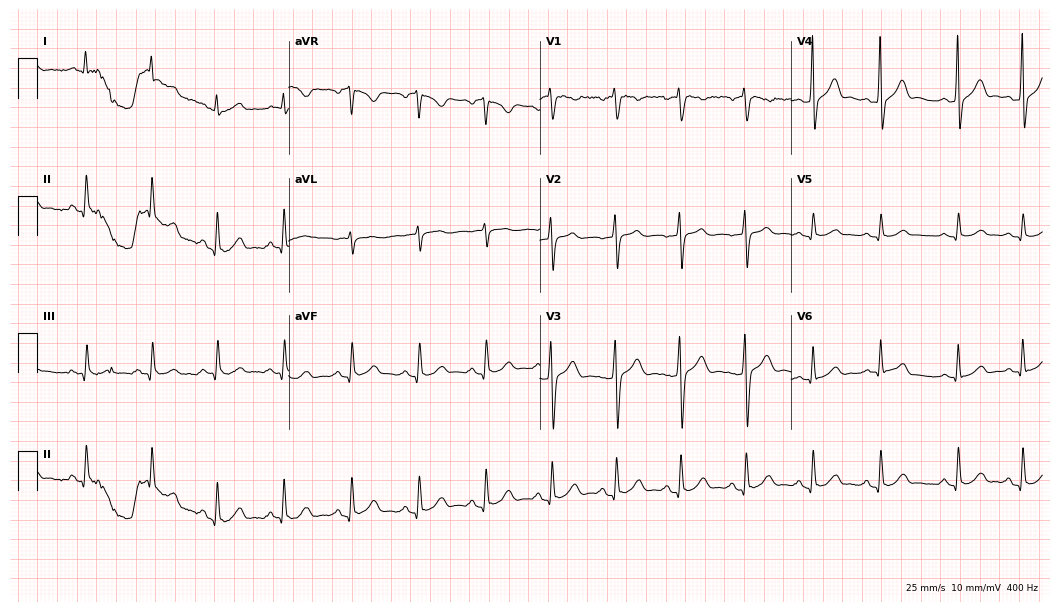
Resting 12-lead electrocardiogram. Patient: a male, 33 years old. None of these six findings is recorded: first-degree AV block, right bundle branch block, left bundle branch block, sinus bradycardia, atrial fibrillation, sinus tachycardia. Findings outside these six are not listed.